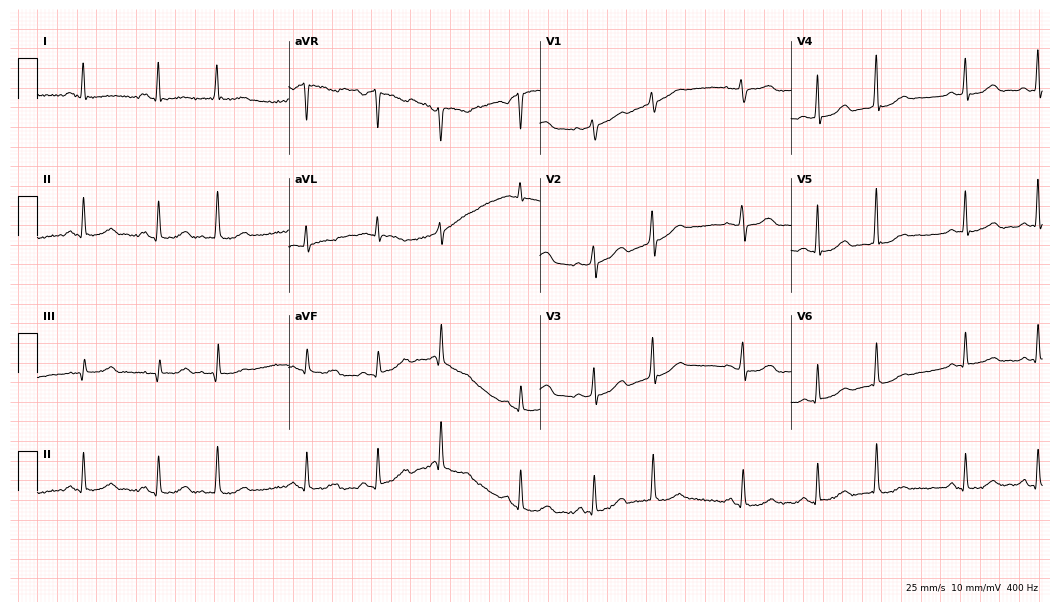
ECG (10.2-second recording at 400 Hz) — a 57-year-old woman. Screened for six findings — first-degree AV block, right bundle branch block (RBBB), left bundle branch block (LBBB), sinus bradycardia, atrial fibrillation (AF), sinus tachycardia — none is recorded.